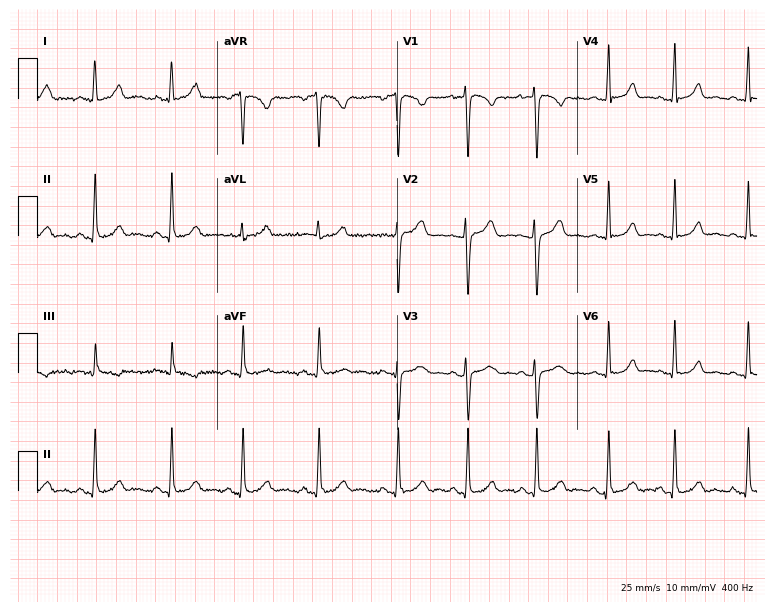
Resting 12-lead electrocardiogram. Patient: an 18-year-old female. Read as a normal ECG.